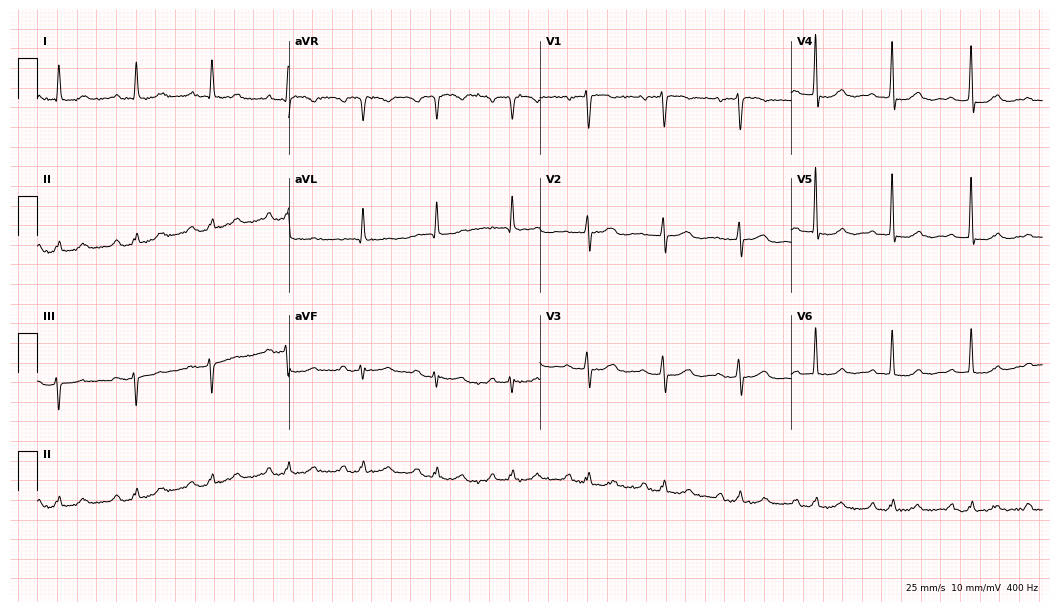
Standard 12-lead ECG recorded from a female, 81 years old. None of these six findings is recorded: first-degree AV block, right bundle branch block, left bundle branch block, sinus bradycardia, atrial fibrillation, sinus tachycardia.